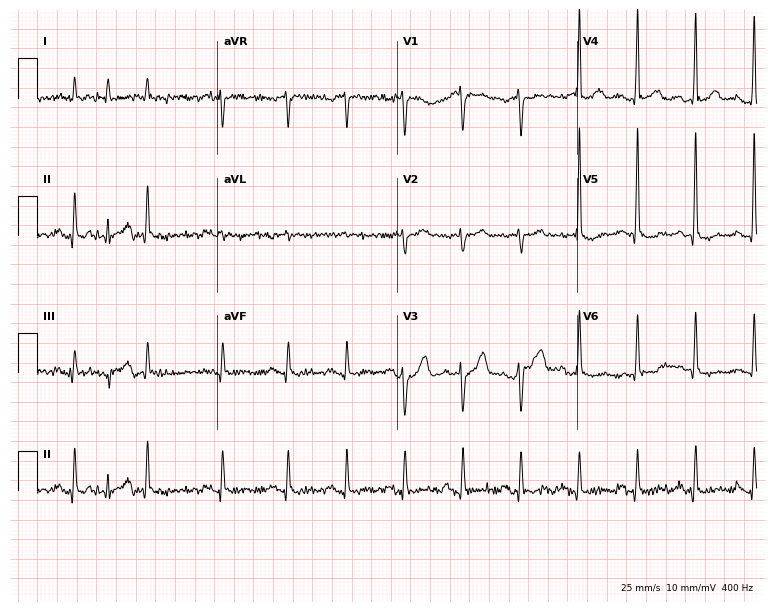
12-lead ECG from a male, 71 years old (7.3-second recording at 400 Hz). No first-degree AV block, right bundle branch block (RBBB), left bundle branch block (LBBB), sinus bradycardia, atrial fibrillation (AF) or sinus tachycardia recorded for this tracing.